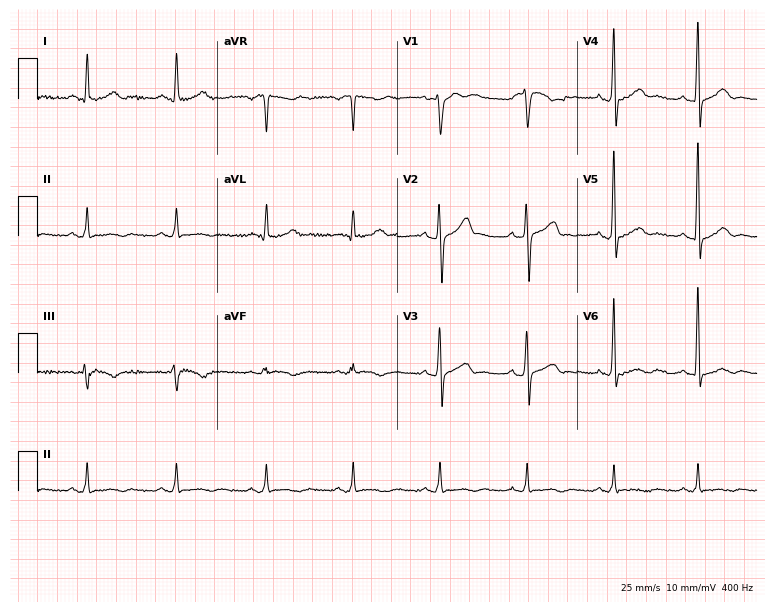
12-lead ECG from a man, 50 years old. No first-degree AV block, right bundle branch block, left bundle branch block, sinus bradycardia, atrial fibrillation or sinus tachycardia recorded for this tracing. Only these six findings were labelled.